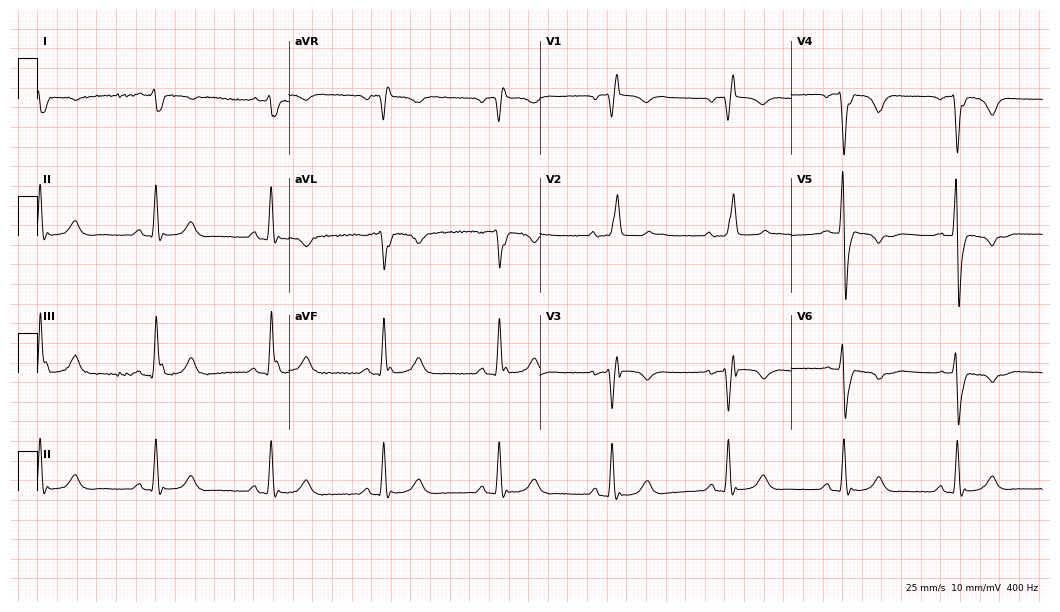
Electrocardiogram (10.2-second recording at 400 Hz), a male, 79 years old. Of the six screened findings (first-degree AV block, right bundle branch block (RBBB), left bundle branch block (LBBB), sinus bradycardia, atrial fibrillation (AF), sinus tachycardia), none is recorded.